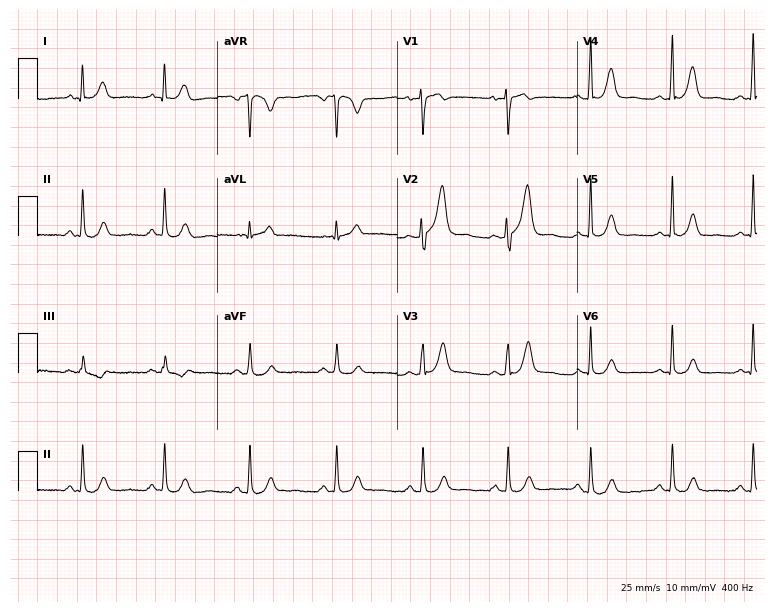
12-lead ECG (7.3-second recording at 400 Hz) from a 42-year-old female patient. Screened for six findings — first-degree AV block, right bundle branch block, left bundle branch block, sinus bradycardia, atrial fibrillation, sinus tachycardia — none is recorded. Other findings, if any, are not listed.